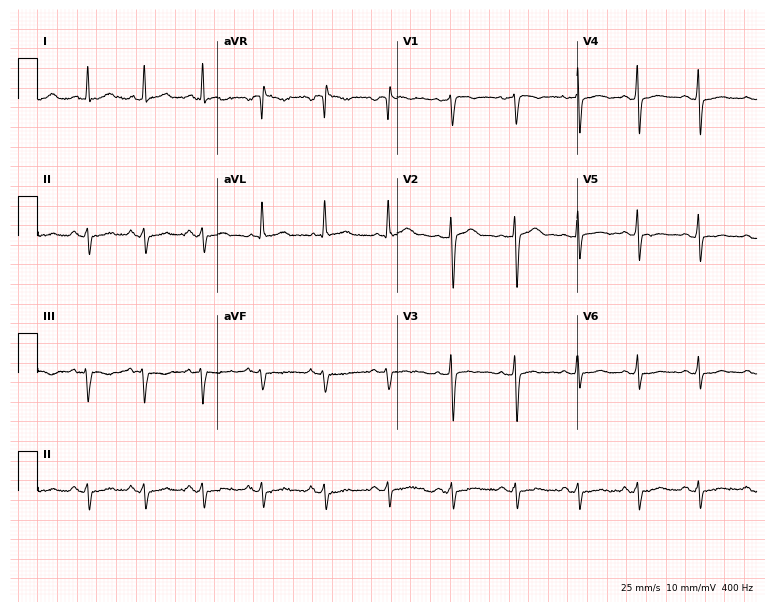
Resting 12-lead electrocardiogram. Patient: a female, 37 years old. None of these six findings is recorded: first-degree AV block, right bundle branch block, left bundle branch block, sinus bradycardia, atrial fibrillation, sinus tachycardia. Findings outside these six are not listed.